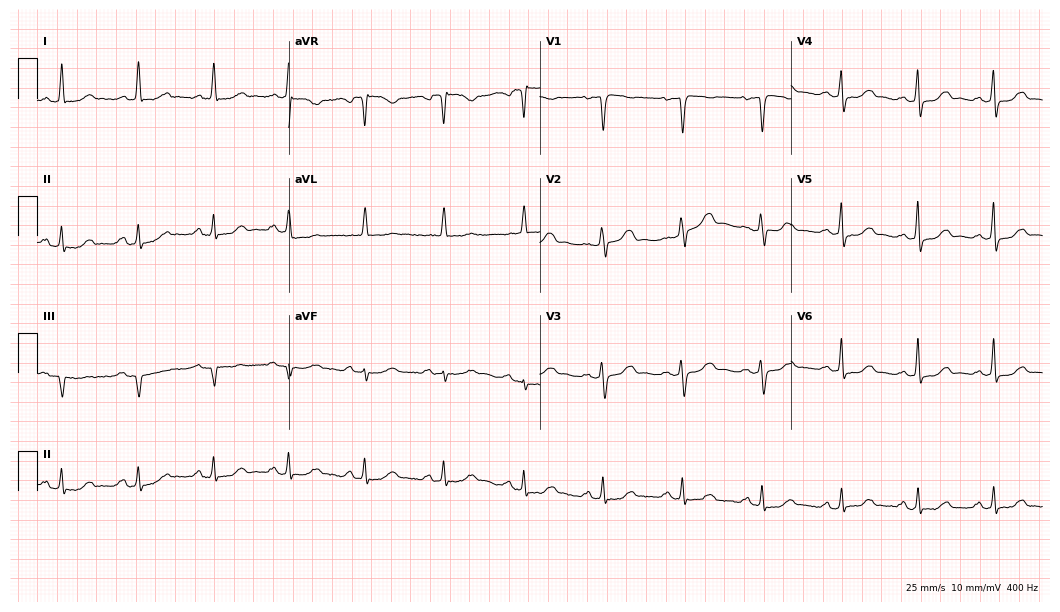
12-lead ECG (10.2-second recording at 400 Hz) from a female, 56 years old. Labelled as a normal ECG.